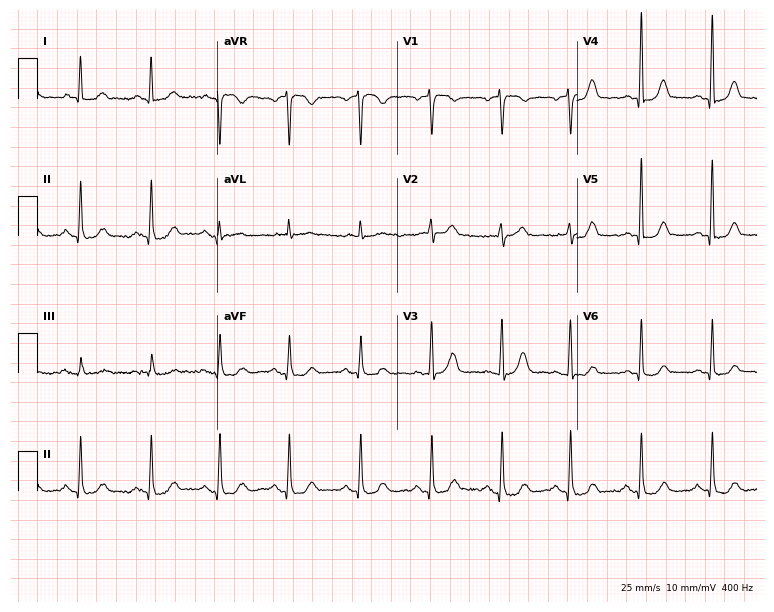
12-lead ECG from a woman, 67 years old. Recorded interpretation: within normal limits.